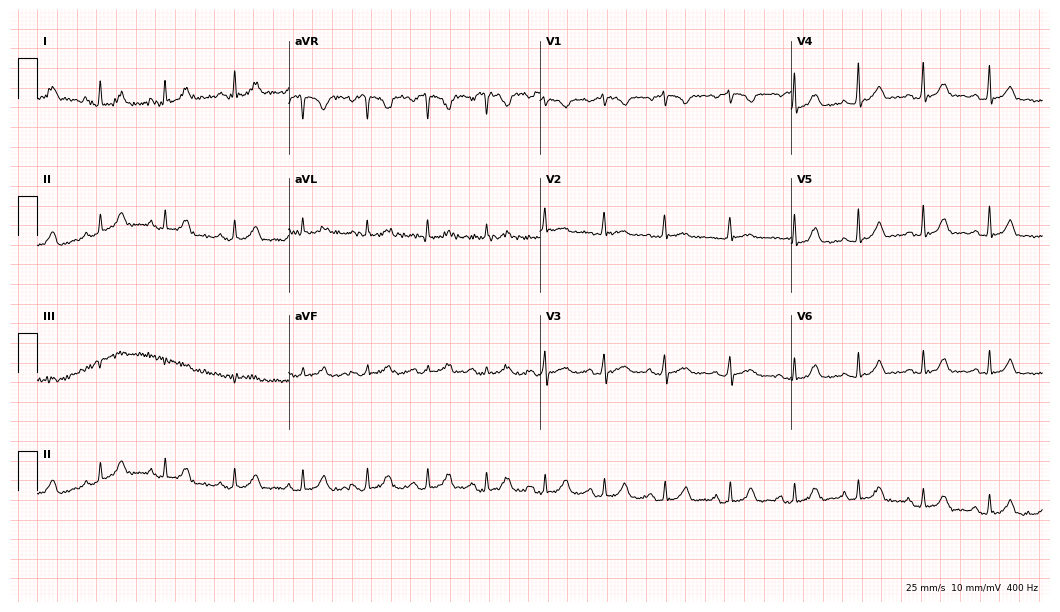
Electrocardiogram, a 40-year-old female. Overall reading on record: normal ECG.